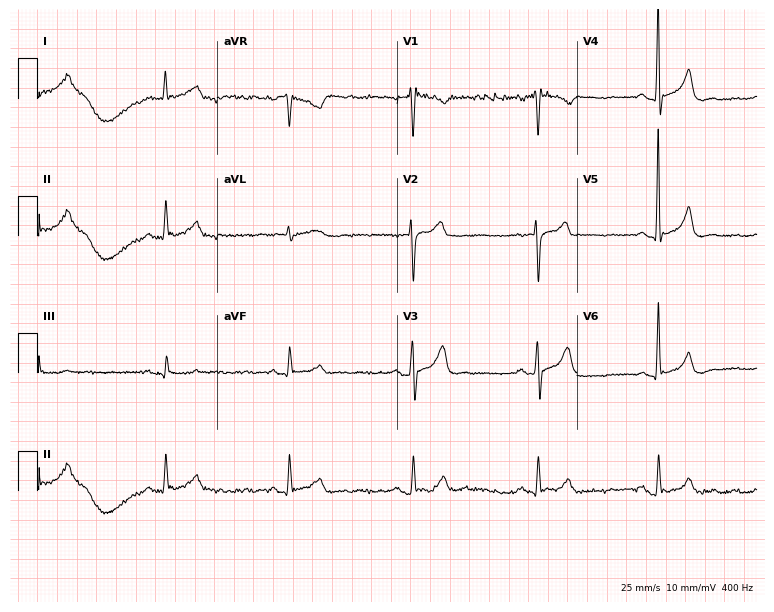
12-lead ECG from a 52-year-old male. Shows sinus bradycardia (a sinus rate of 50 beats per minute or less).